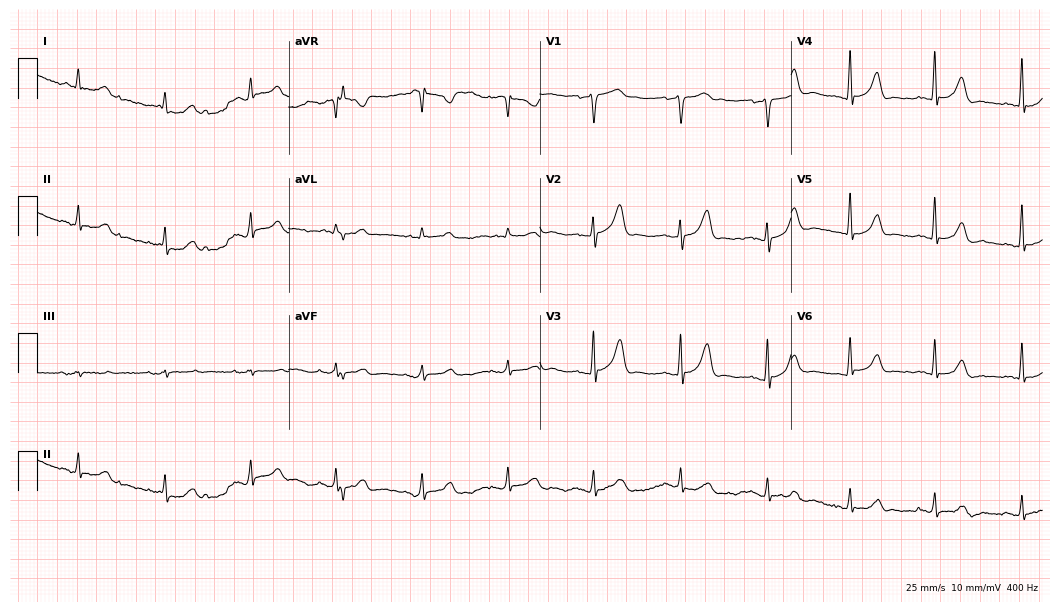
Electrocardiogram (10.2-second recording at 400 Hz), a male, 57 years old. Overall reading on record: normal ECG.